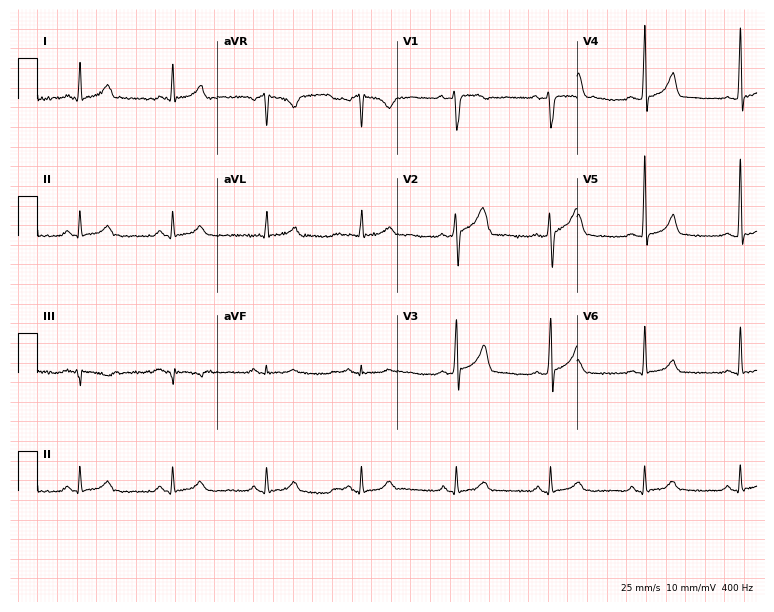
12-lead ECG from a man, 45 years old. No first-degree AV block, right bundle branch block, left bundle branch block, sinus bradycardia, atrial fibrillation or sinus tachycardia recorded for this tracing. Only these six findings were labelled.